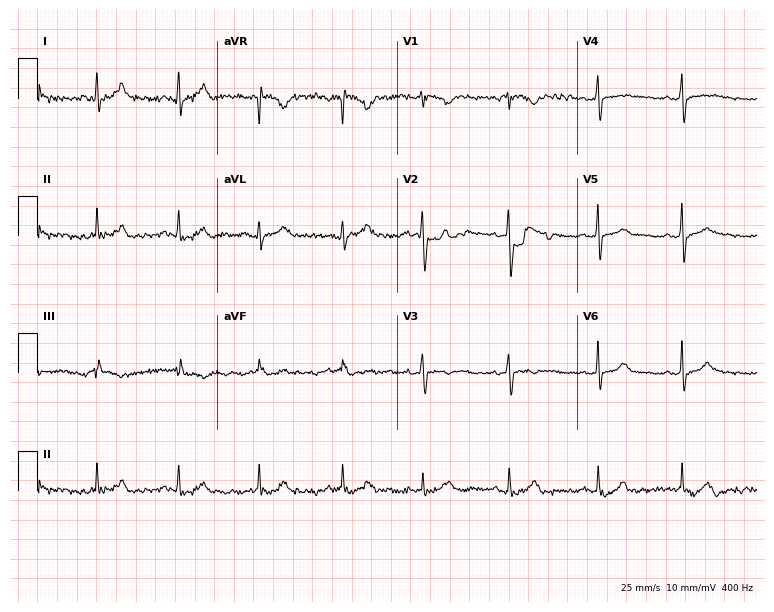
ECG (7.3-second recording at 400 Hz) — a 36-year-old female patient. Labelled as a normal ECG.